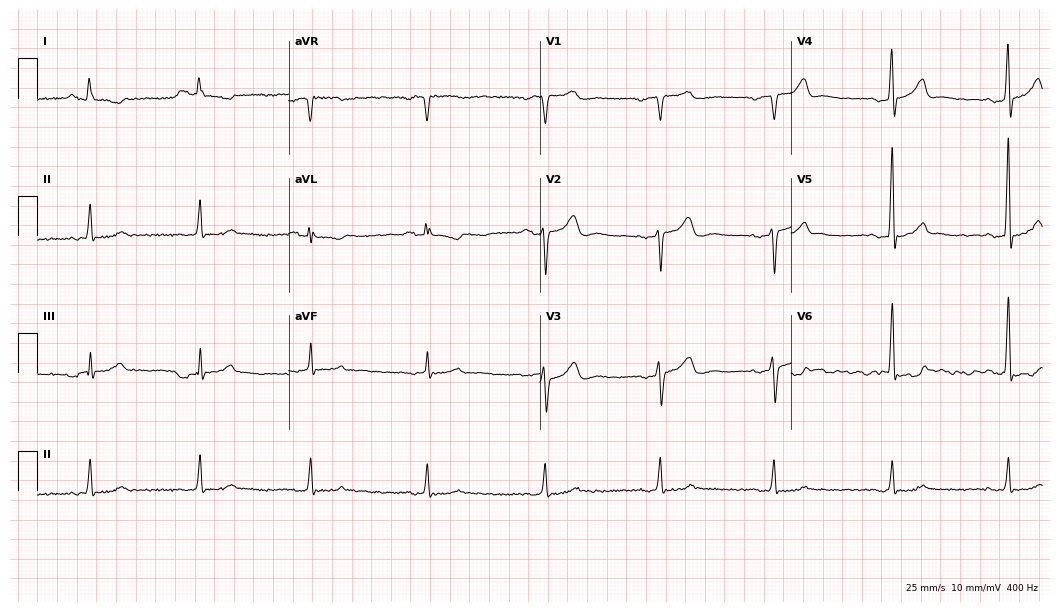
ECG — a man, 51 years old. Labelled as a normal ECG.